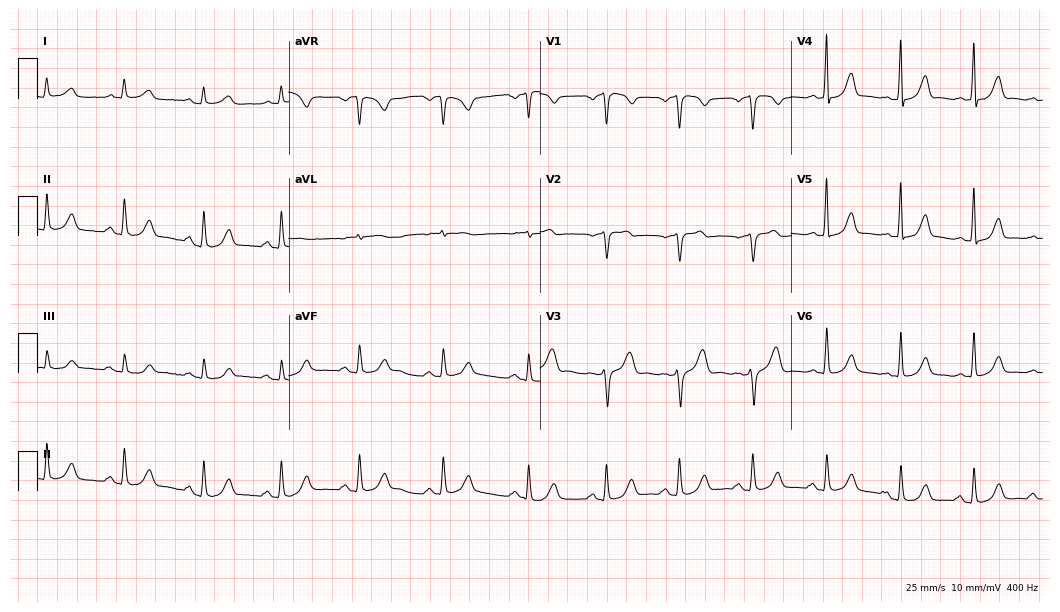
ECG — a man, 59 years old. Labelled as a normal ECG.